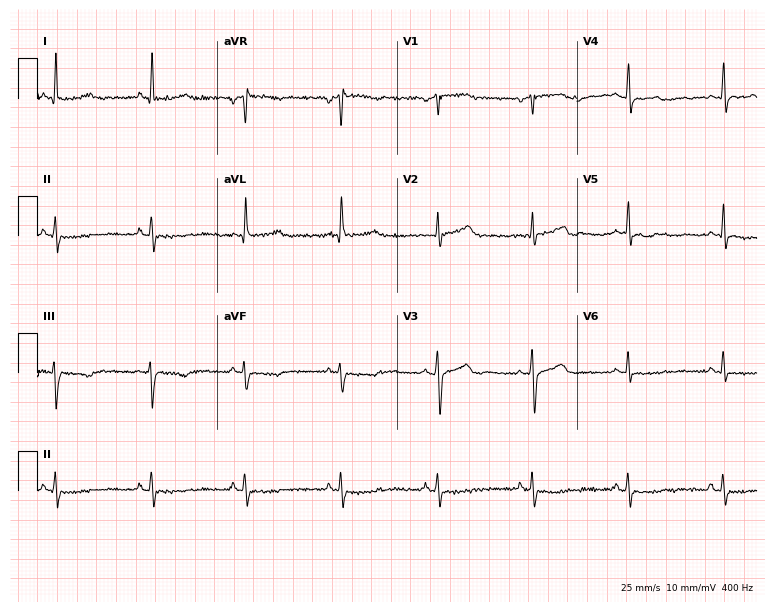
Standard 12-lead ECG recorded from a 57-year-old female (7.3-second recording at 400 Hz). None of these six findings is recorded: first-degree AV block, right bundle branch block, left bundle branch block, sinus bradycardia, atrial fibrillation, sinus tachycardia.